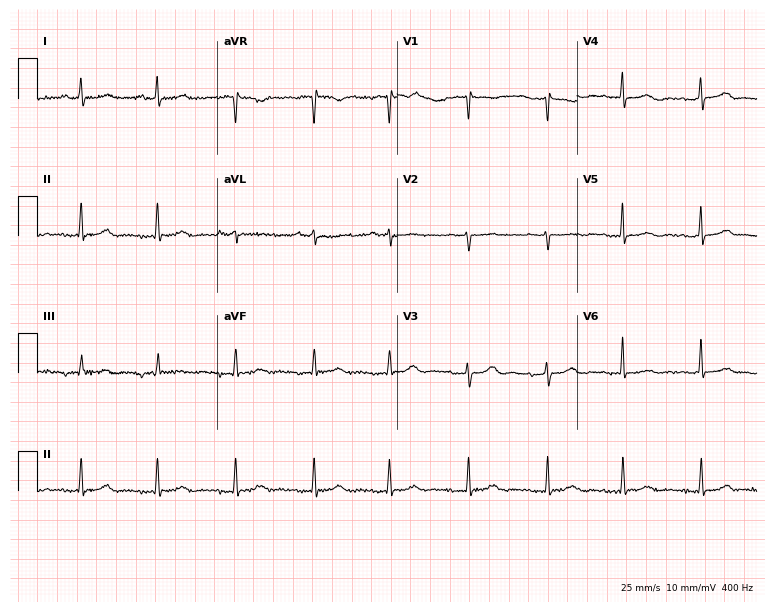
12-lead ECG (7.3-second recording at 400 Hz) from a 62-year-old female patient. Labelled as a normal ECG.